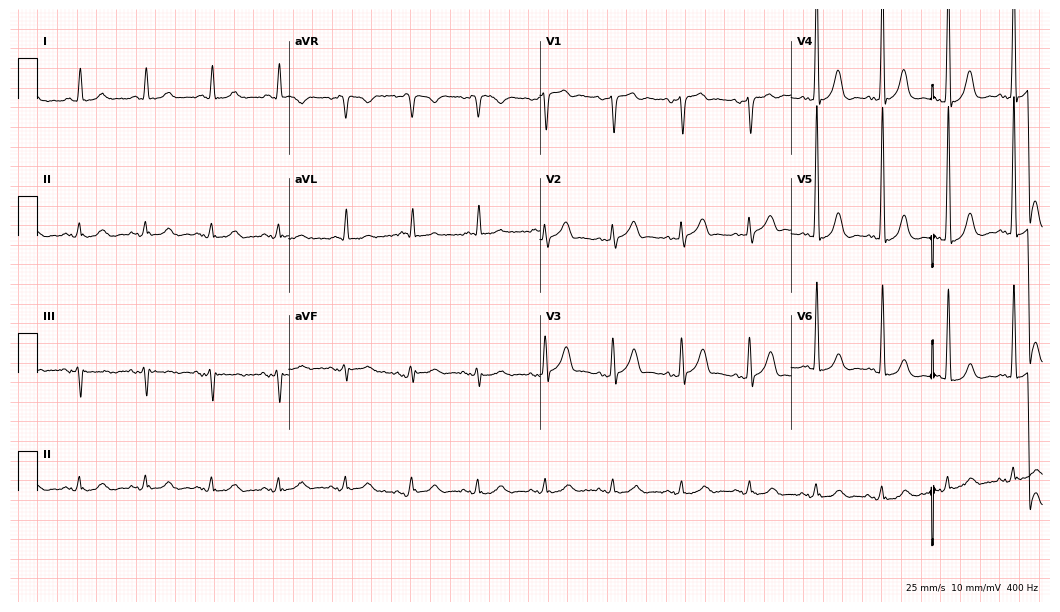
Electrocardiogram (10.2-second recording at 400 Hz), a man, 76 years old. Overall reading on record: normal ECG.